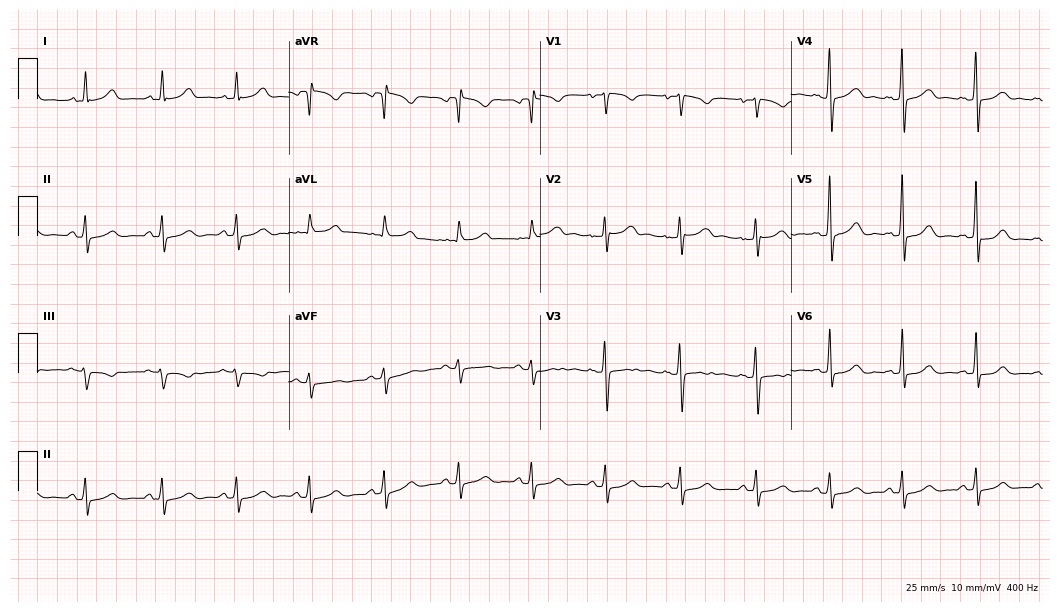
Standard 12-lead ECG recorded from a 51-year-old woman (10.2-second recording at 400 Hz). Read as a normal ECG.